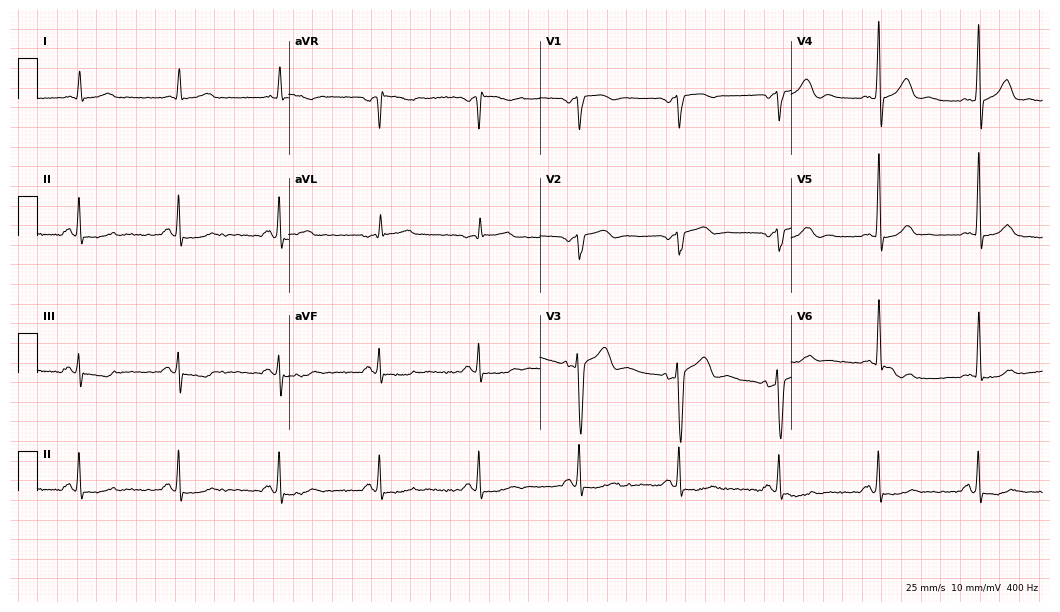
12-lead ECG (10.2-second recording at 400 Hz) from a 63-year-old man. Screened for six findings — first-degree AV block, right bundle branch block, left bundle branch block, sinus bradycardia, atrial fibrillation, sinus tachycardia — none is recorded. Other findings, if any, are not listed.